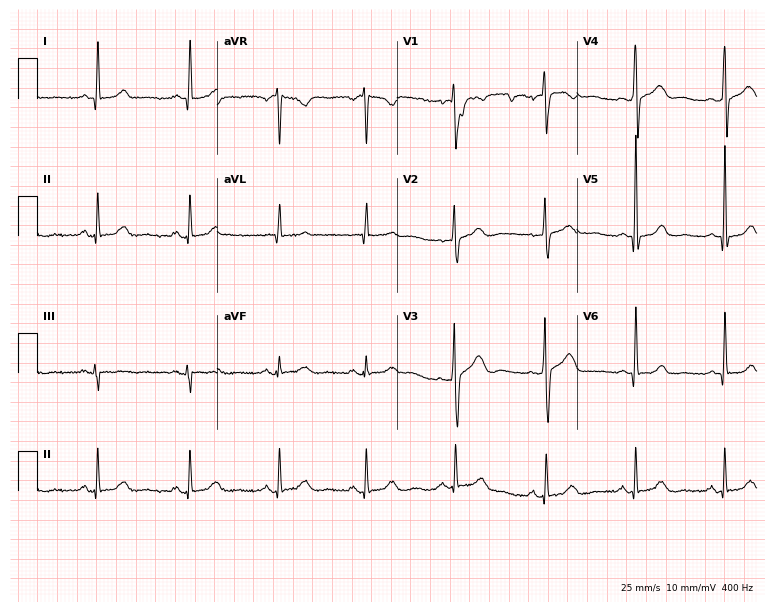
Resting 12-lead electrocardiogram (7.3-second recording at 400 Hz). Patient: a 53-year-old woman. Read as a normal ECG.